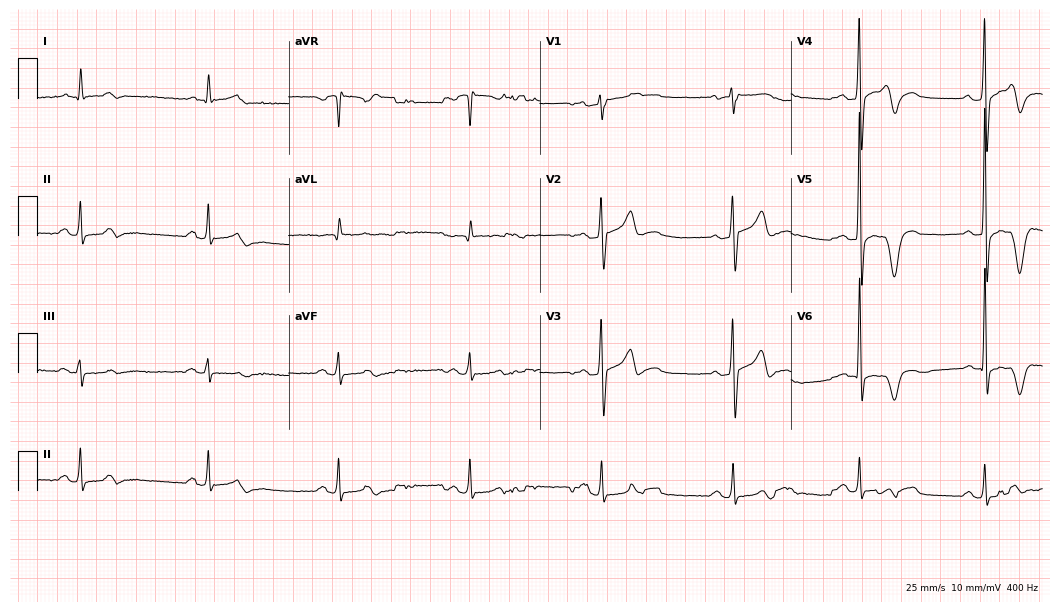
ECG (10.2-second recording at 400 Hz) — a 71-year-old man. Screened for six findings — first-degree AV block, right bundle branch block, left bundle branch block, sinus bradycardia, atrial fibrillation, sinus tachycardia — none is recorded. Findings outside these six are not listed.